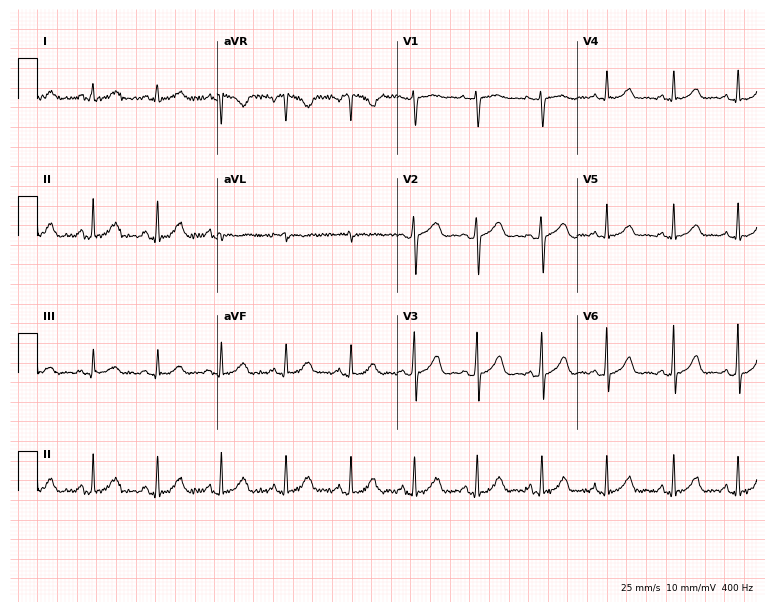
12-lead ECG from a female, 42 years old (7.3-second recording at 400 Hz). Recorded interpretation: within normal limits.